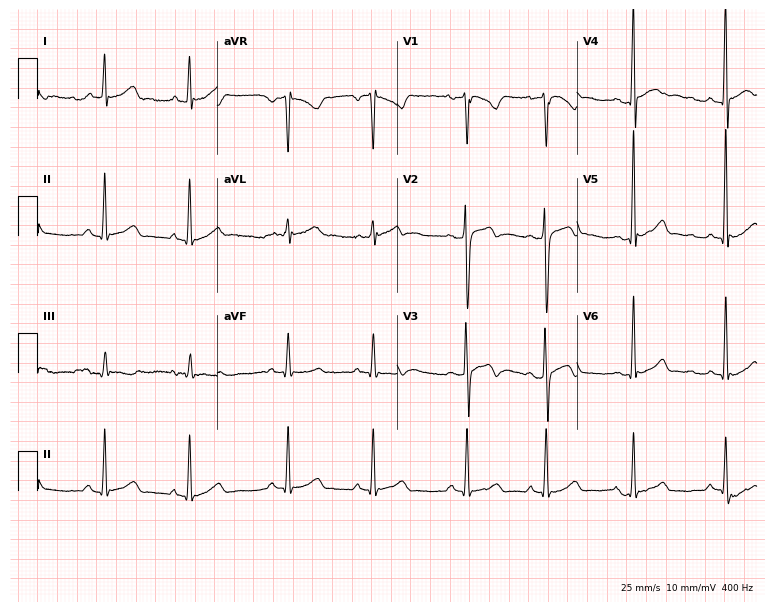
Electrocardiogram, a male patient, 29 years old. Overall reading on record: normal ECG.